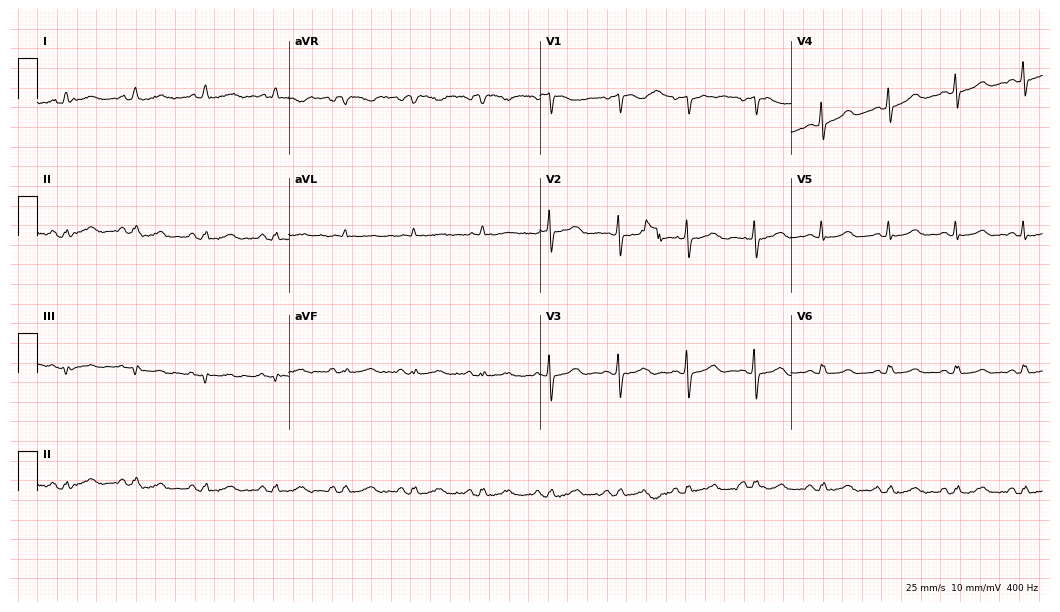
Electrocardiogram (10.2-second recording at 400 Hz), an 80-year-old woman. Of the six screened findings (first-degree AV block, right bundle branch block (RBBB), left bundle branch block (LBBB), sinus bradycardia, atrial fibrillation (AF), sinus tachycardia), none is recorded. Only these six findings were labelled.